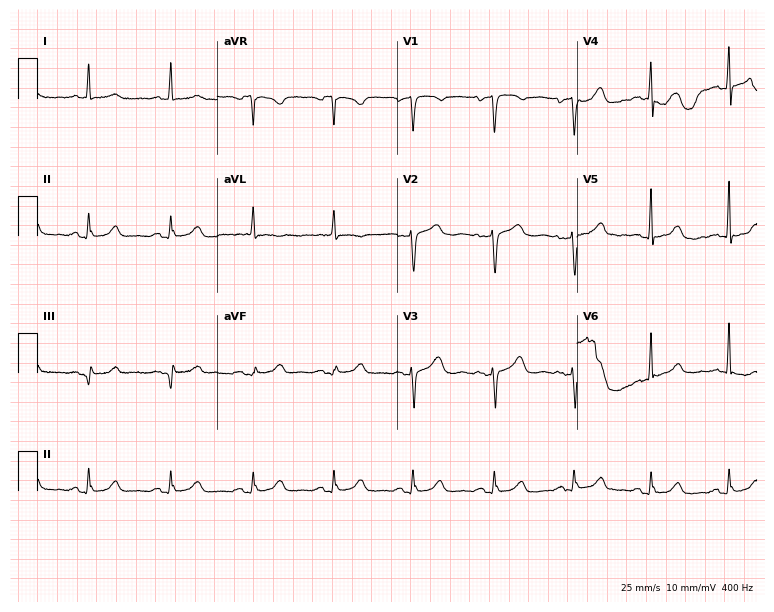
12-lead ECG from a 68-year-old female. Screened for six findings — first-degree AV block, right bundle branch block, left bundle branch block, sinus bradycardia, atrial fibrillation, sinus tachycardia — none is recorded. Findings outside these six are not listed.